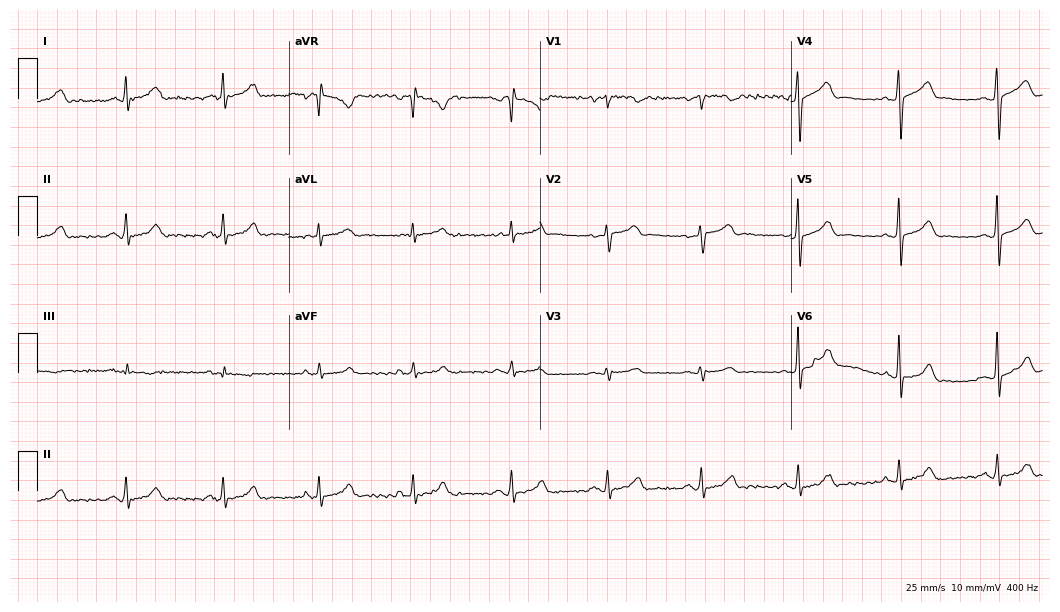
ECG (10.2-second recording at 400 Hz) — a 42-year-old woman. Labelled as a normal ECG.